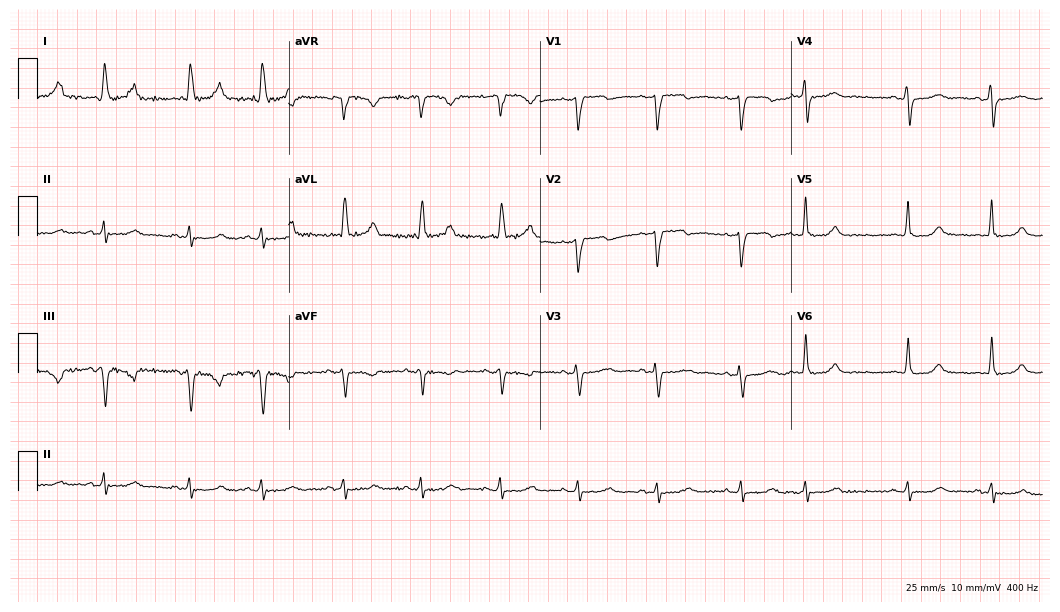
12-lead ECG from a female, 76 years old. No first-degree AV block, right bundle branch block, left bundle branch block, sinus bradycardia, atrial fibrillation or sinus tachycardia recorded for this tracing.